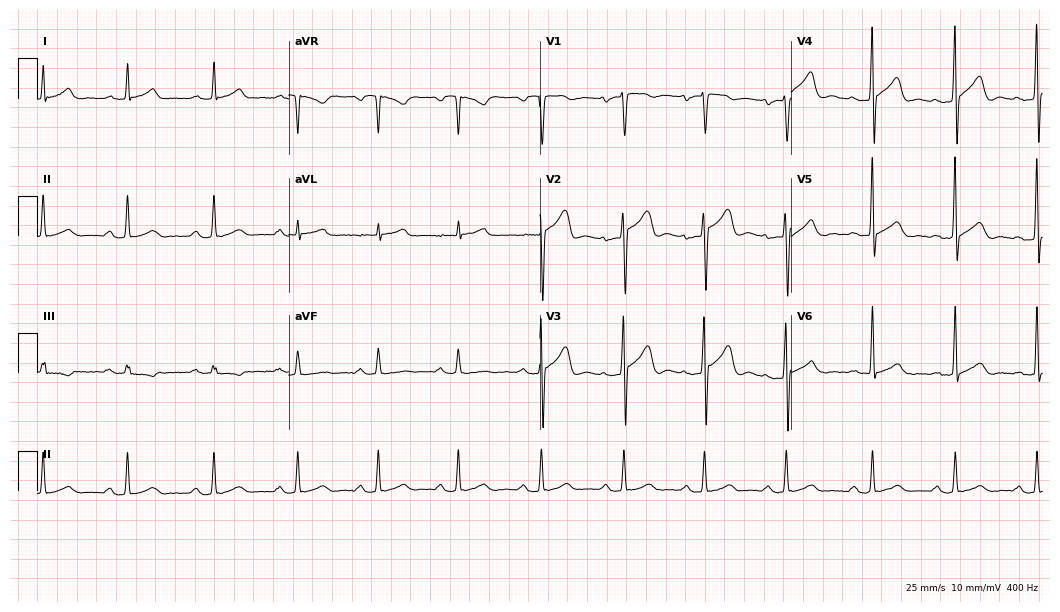
12-lead ECG from a male patient, 45 years old (10.2-second recording at 400 Hz). Shows first-degree AV block.